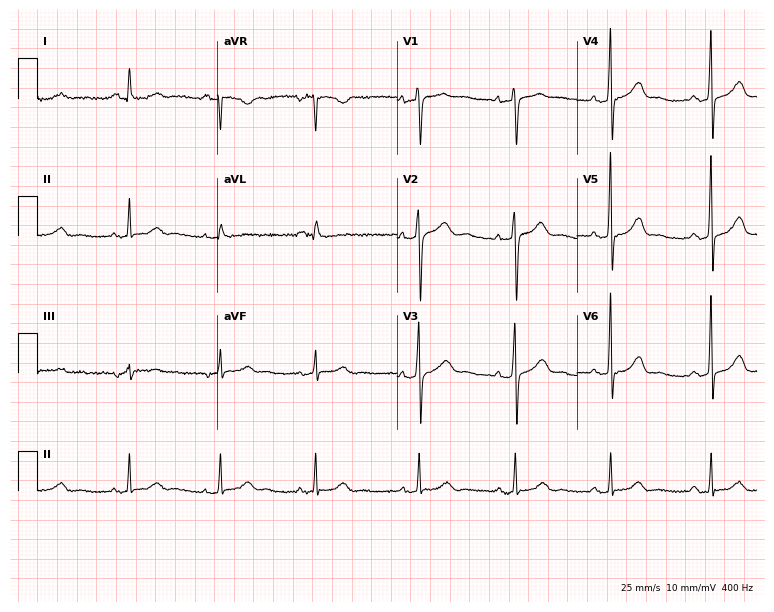
Resting 12-lead electrocardiogram (7.3-second recording at 400 Hz). Patient: a 40-year-old female. None of these six findings is recorded: first-degree AV block, right bundle branch block (RBBB), left bundle branch block (LBBB), sinus bradycardia, atrial fibrillation (AF), sinus tachycardia.